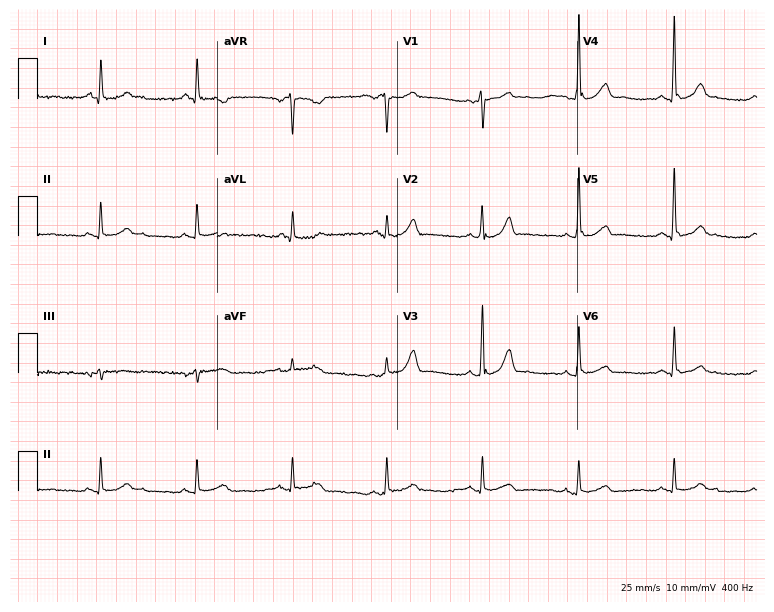
ECG — a male, 72 years old. Labelled as a normal ECG.